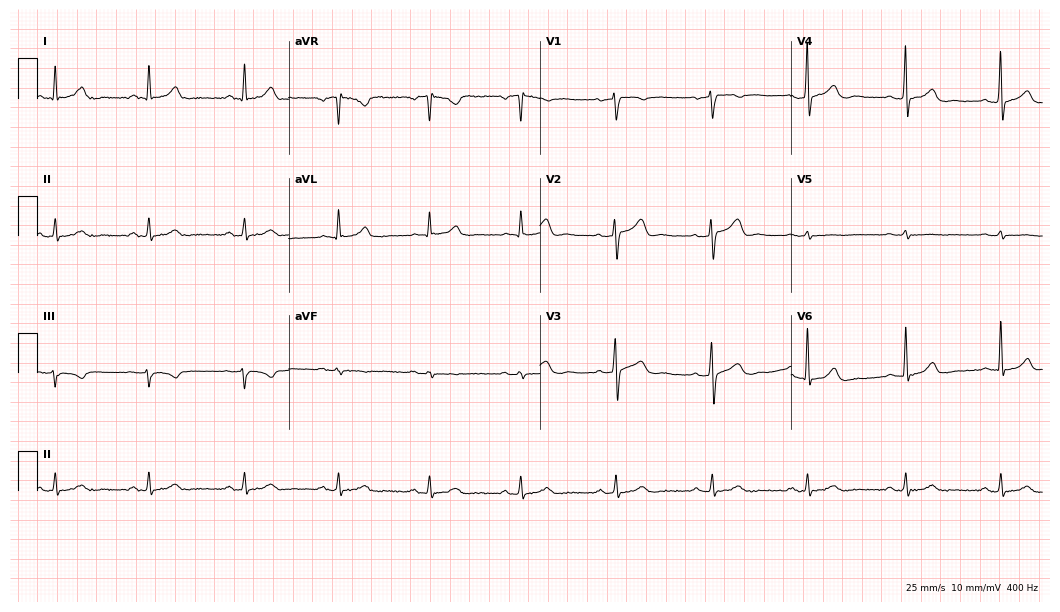
12-lead ECG from a male patient, 46 years old. Recorded interpretation: within normal limits.